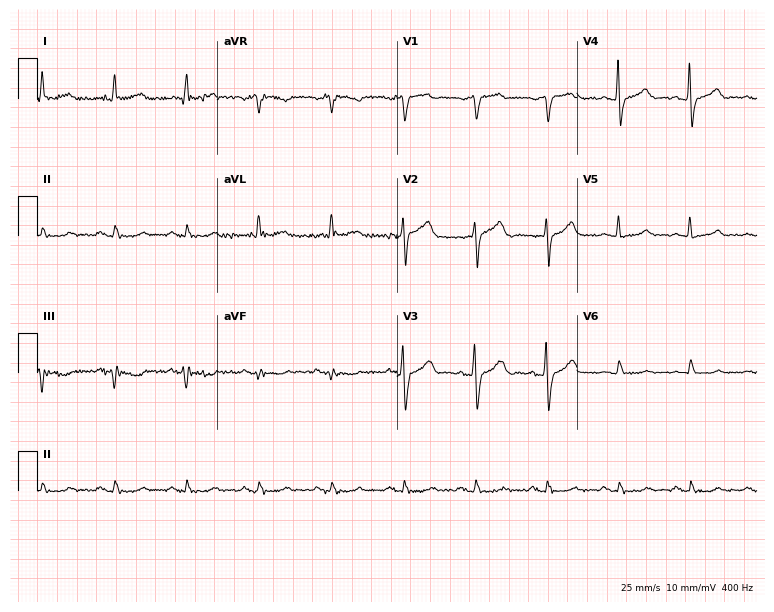
Standard 12-lead ECG recorded from a 75-year-old male (7.3-second recording at 400 Hz). None of these six findings is recorded: first-degree AV block, right bundle branch block (RBBB), left bundle branch block (LBBB), sinus bradycardia, atrial fibrillation (AF), sinus tachycardia.